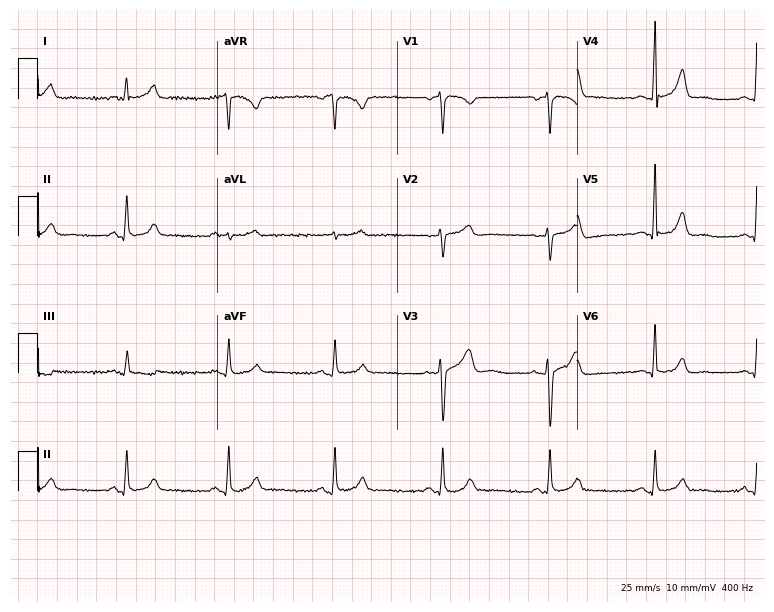
12-lead ECG from a man, 55 years old. Recorded interpretation: within normal limits.